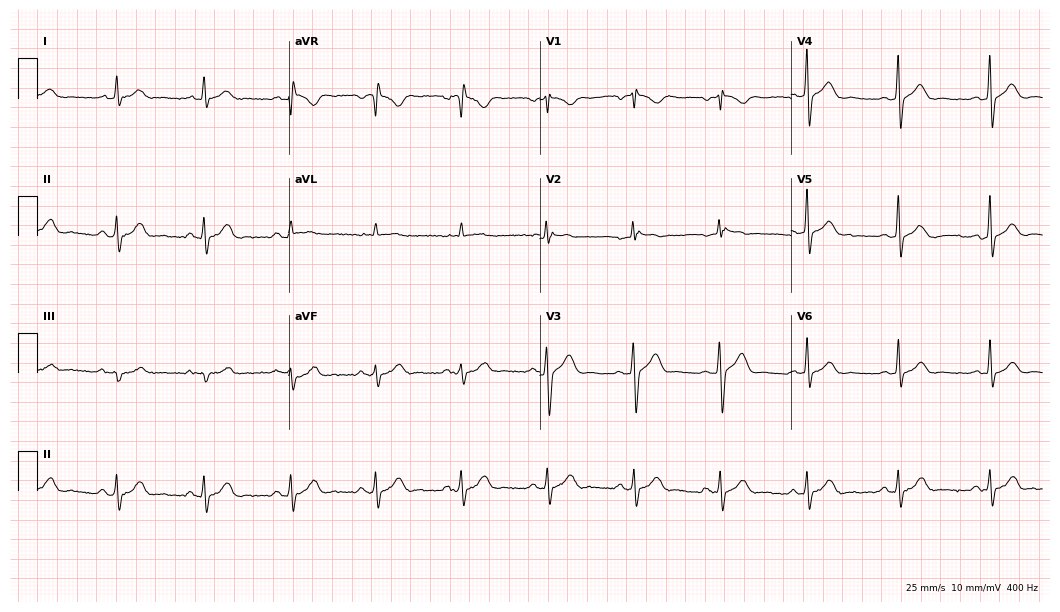
Standard 12-lead ECG recorded from a male patient, 48 years old (10.2-second recording at 400 Hz). Read as a normal ECG.